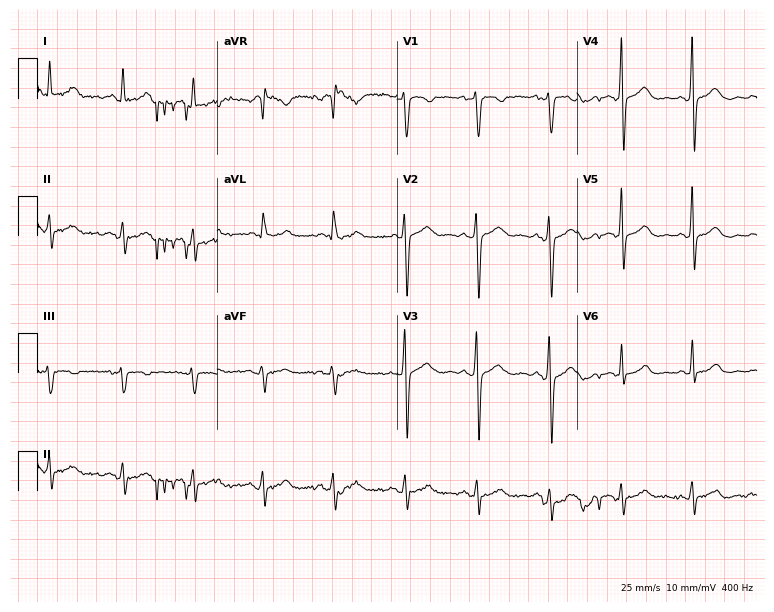
Standard 12-lead ECG recorded from a 51-year-old woman (7.3-second recording at 400 Hz). None of these six findings is recorded: first-degree AV block, right bundle branch block, left bundle branch block, sinus bradycardia, atrial fibrillation, sinus tachycardia. Findings outside these six are not listed.